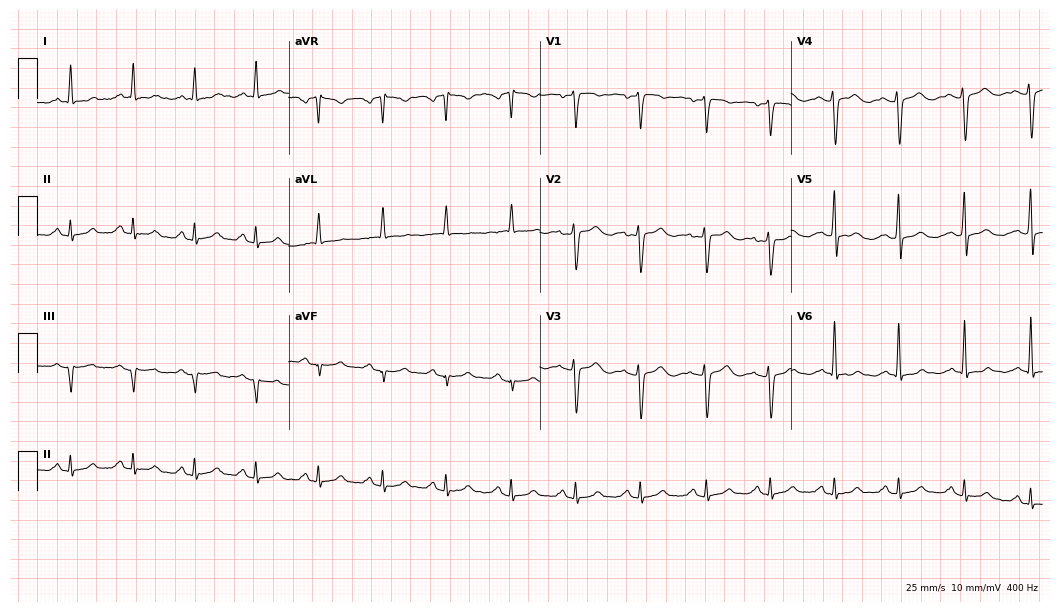
Standard 12-lead ECG recorded from a female patient, 40 years old (10.2-second recording at 400 Hz). Read as a normal ECG.